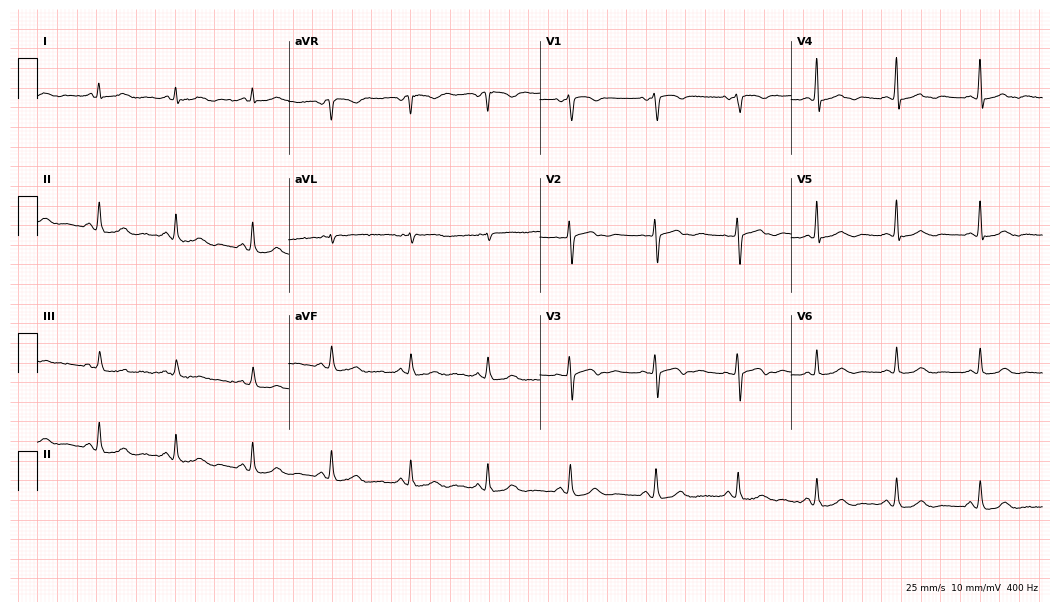
12-lead ECG from a 51-year-old female patient. Recorded interpretation: within normal limits.